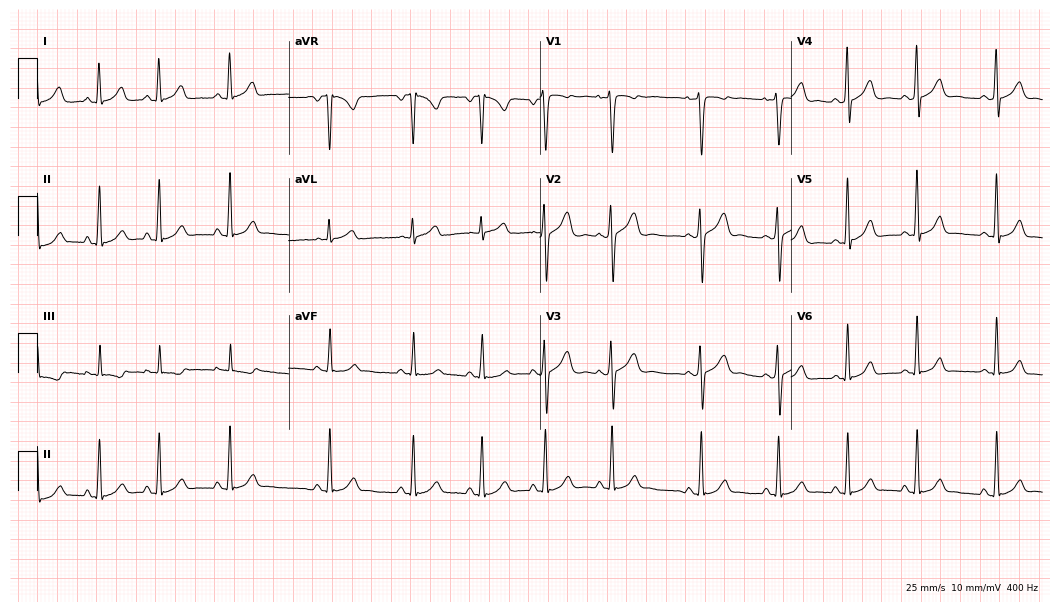
ECG (10.2-second recording at 400 Hz) — a 17-year-old female patient. Screened for six findings — first-degree AV block, right bundle branch block (RBBB), left bundle branch block (LBBB), sinus bradycardia, atrial fibrillation (AF), sinus tachycardia — none is recorded. Findings outside these six are not listed.